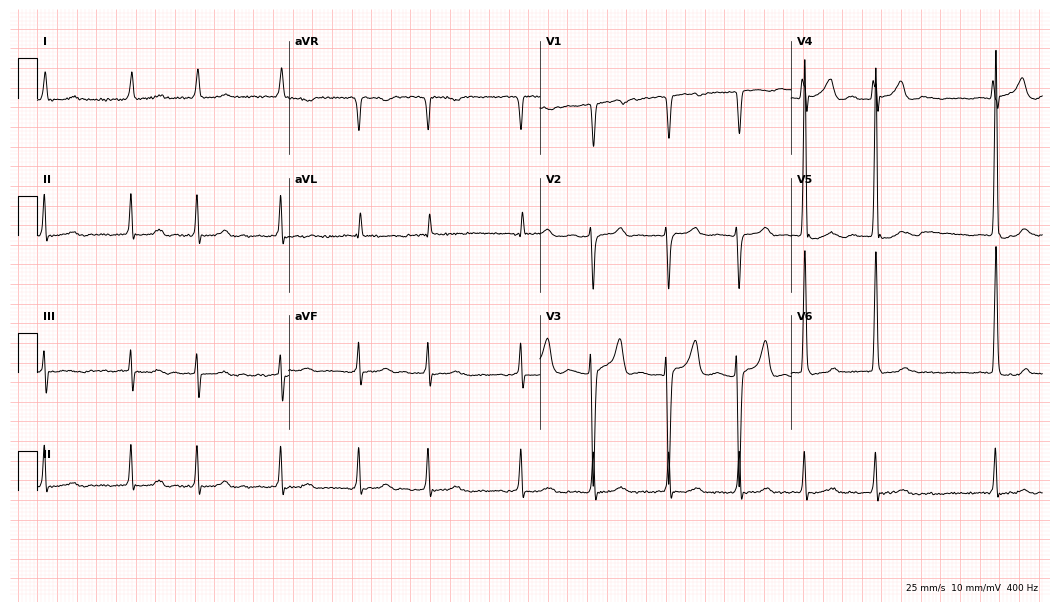
12-lead ECG from an 81-year-old male patient (10.2-second recording at 400 Hz). Shows atrial fibrillation.